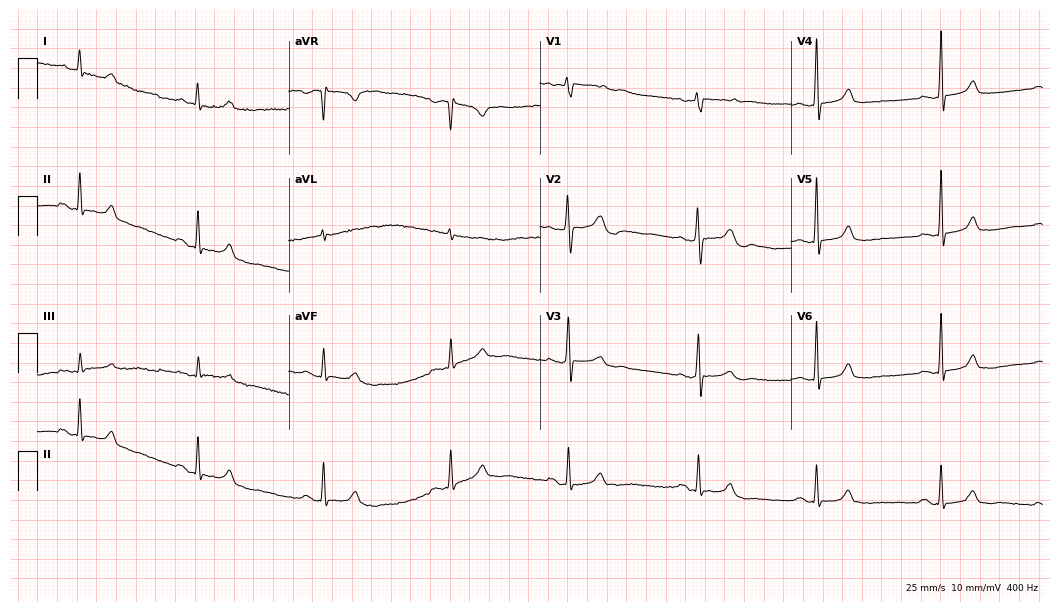
Resting 12-lead electrocardiogram. Patient: a 25-year-old female. Read as a normal ECG.